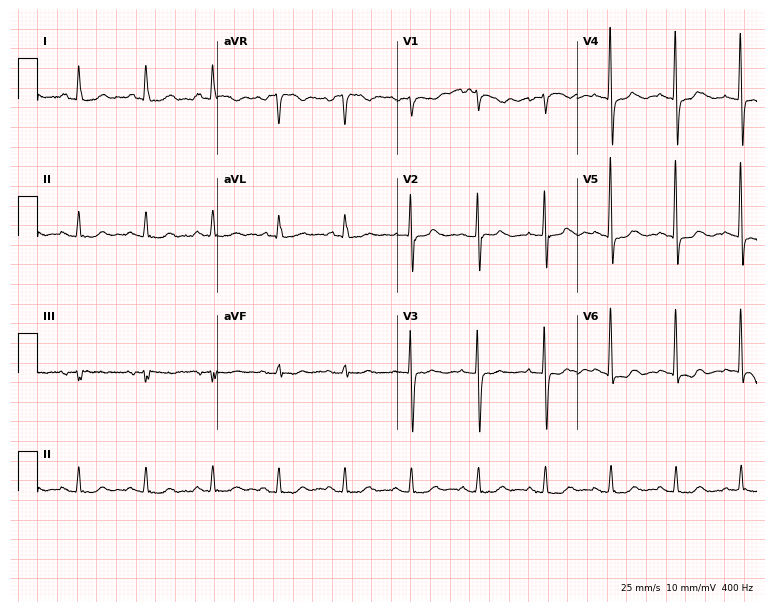
12-lead ECG (7.3-second recording at 400 Hz) from a woman, 74 years old. Labelled as a normal ECG.